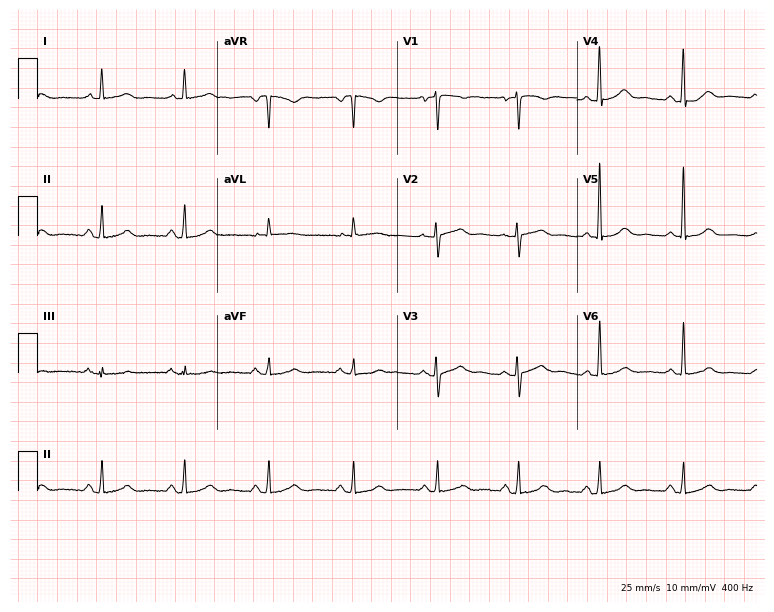
Electrocardiogram (7.3-second recording at 400 Hz), a 70-year-old female patient. Overall reading on record: normal ECG.